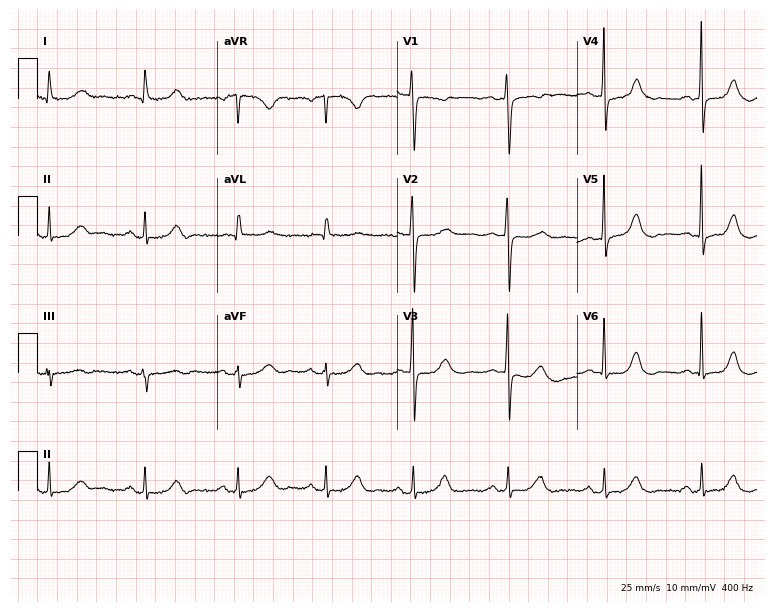
Electrocardiogram, a 69-year-old female patient. Overall reading on record: normal ECG.